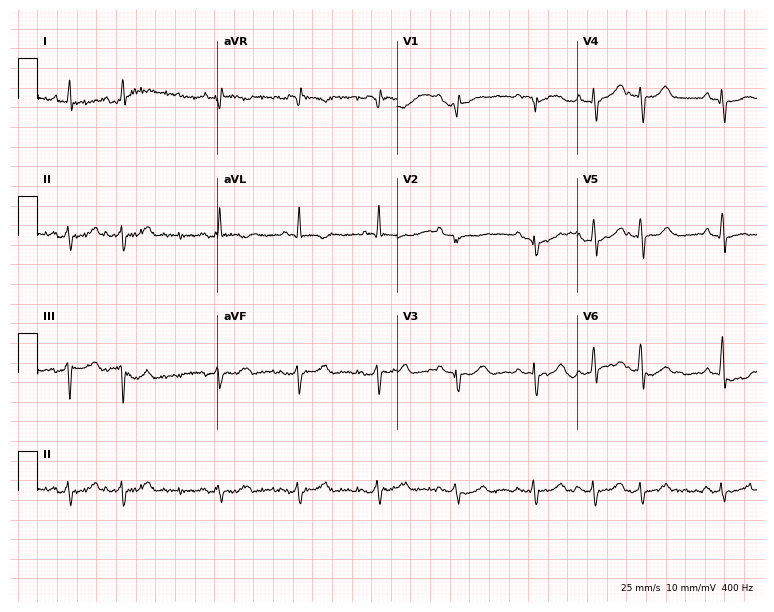
Electrocardiogram (7.3-second recording at 400 Hz), a male, 83 years old. Of the six screened findings (first-degree AV block, right bundle branch block, left bundle branch block, sinus bradycardia, atrial fibrillation, sinus tachycardia), none is recorded. Other findings, if any, are not listed.